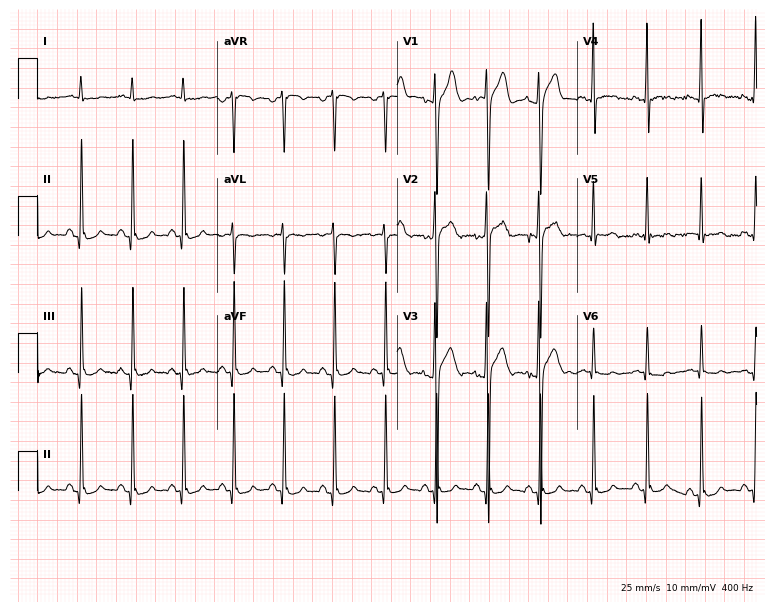
ECG (7.3-second recording at 400 Hz) — a 20-year-old male. Findings include sinus tachycardia (a sinus rate of 100 beats per minute or more).